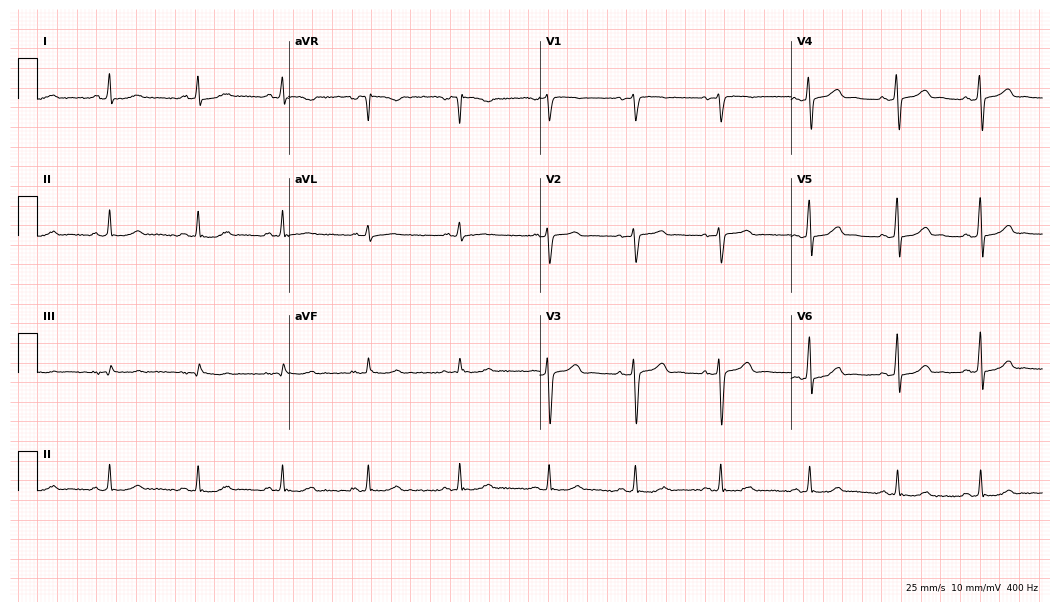
12-lead ECG from a female patient, 36 years old. No first-degree AV block, right bundle branch block, left bundle branch block, sinus bradycardia, atrial fibrillation or sinus tachycardia recorded for this tracing.